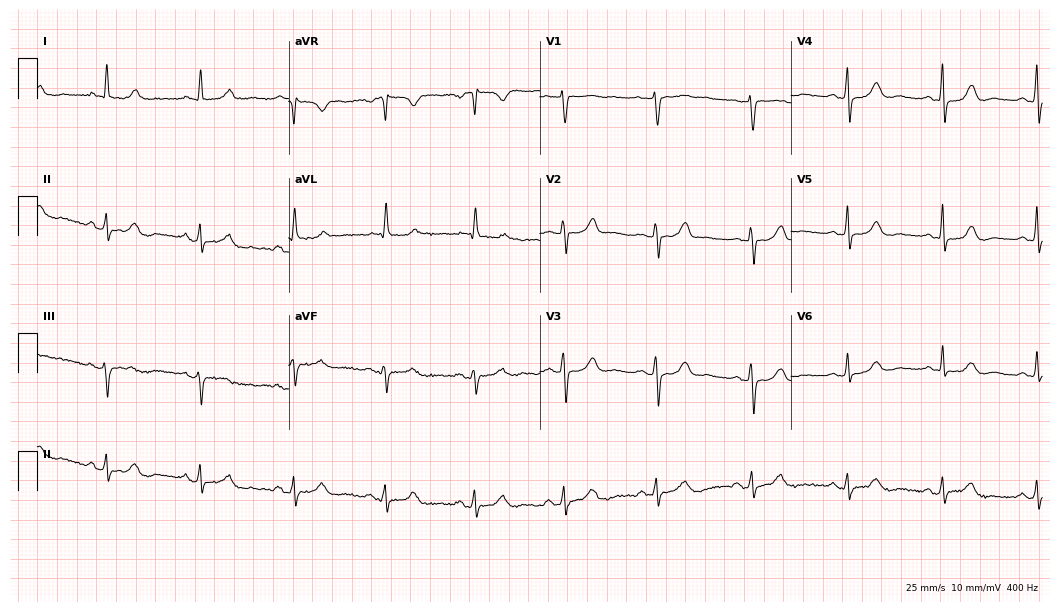
Resting 12-lead electrocardiogram (10.2-second recording at 400 Hz). Patient: a 64-year-old female. Read as a normal ECG.